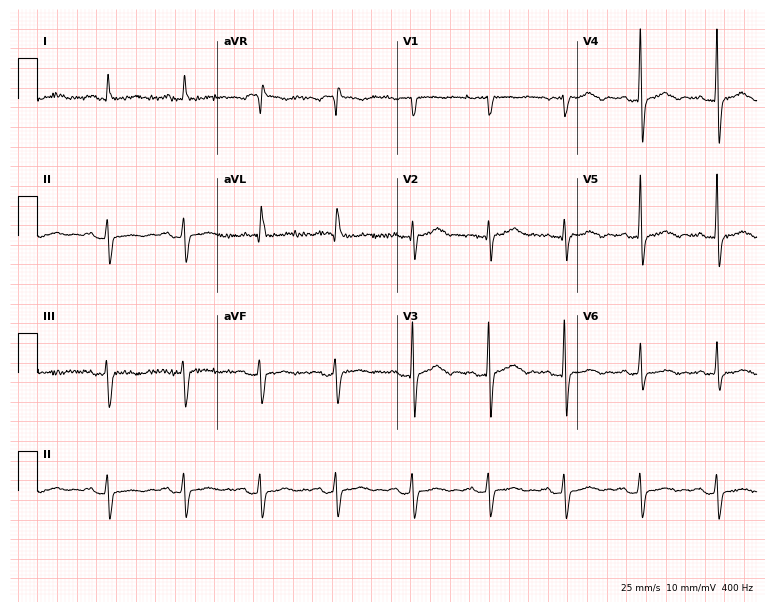
Resting 12-lead electrocardiogram. Patient: an 84-year-old man. None of these six findings is recorded: first-degree AV block, right bundle branch block (RBBB), left bundle branch block (LBBB), sinus bradycardia, atrial fibrillation (AF), sinus tachycardia.